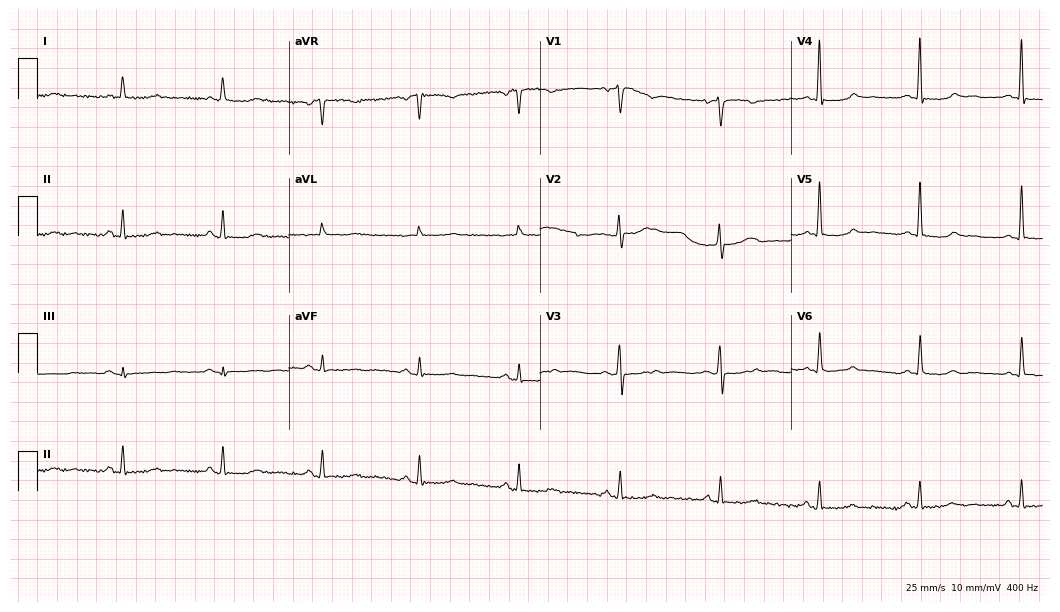
12-lead ECG from a 50-year-old female (10.2-second recording at 400 Hz). No first-degree AV block, right bundle branch block, left bundle branch block, sinus bradycardia, atrial fibrillation or sinus tachycardia recorded for this tracing.